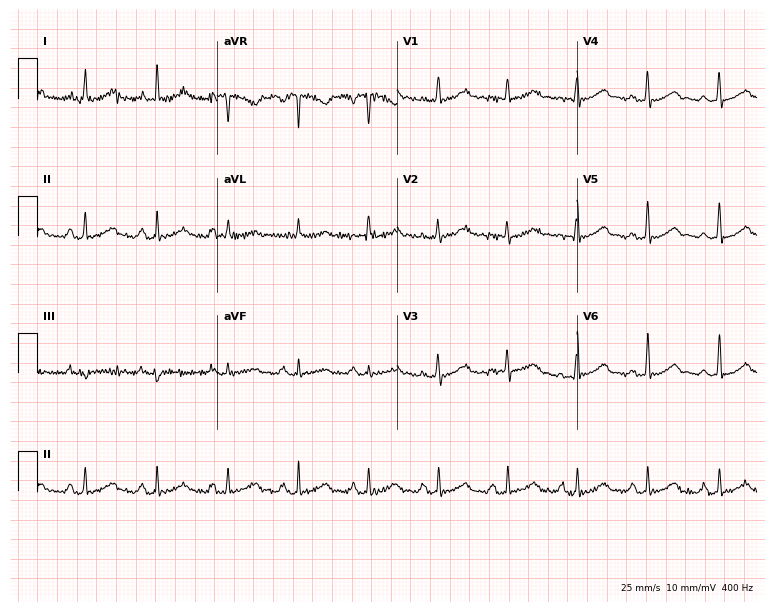
Electrocardiogram (7.3-second recording at 400 Hz), a male, 50 years old. Overall reading on record: normal ECG.